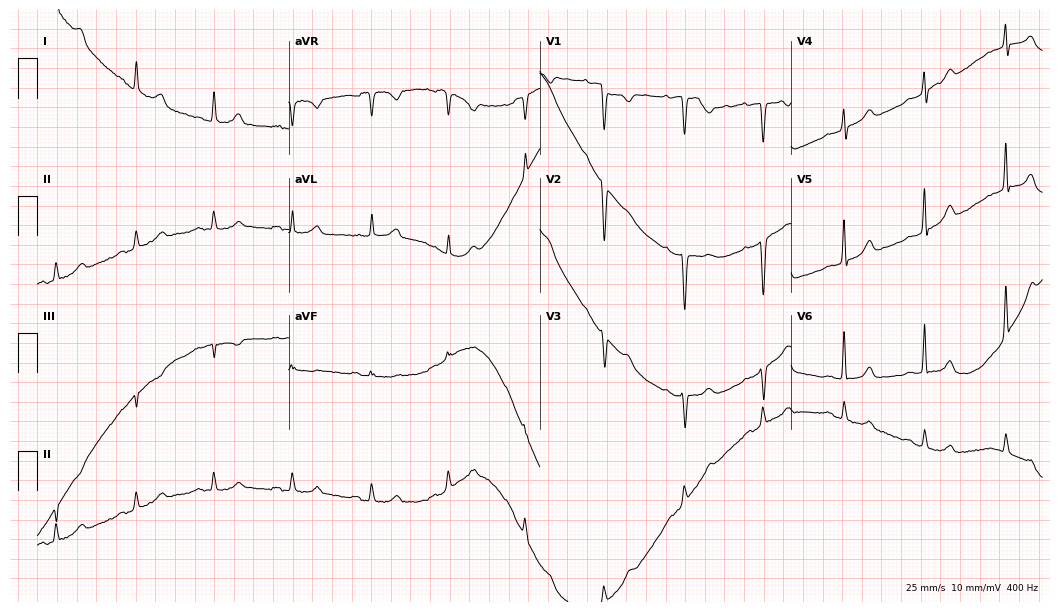
12-lead ECG from a 53-year-old woman. Recorded interpretation: within normal limits.